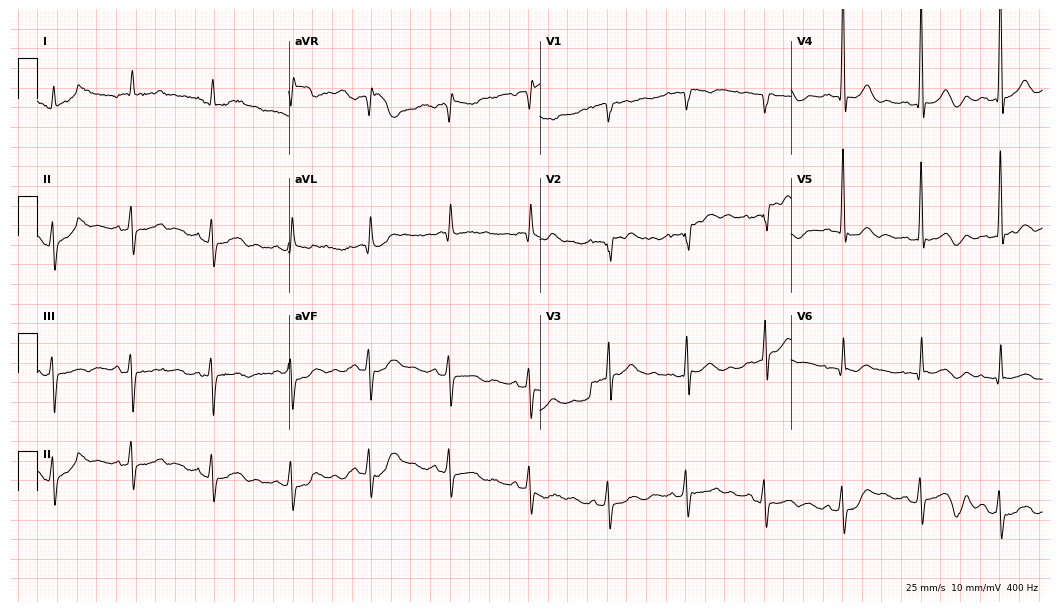
12-lead ECG from a male patient, 80 years old (10.2-second recording at 400 Hz). No first-degree AV block, right bundle branch block, left bundle branch block, sinus bradycardia, atrial fibrillation or sinus tachycardia recorded for this tracing.